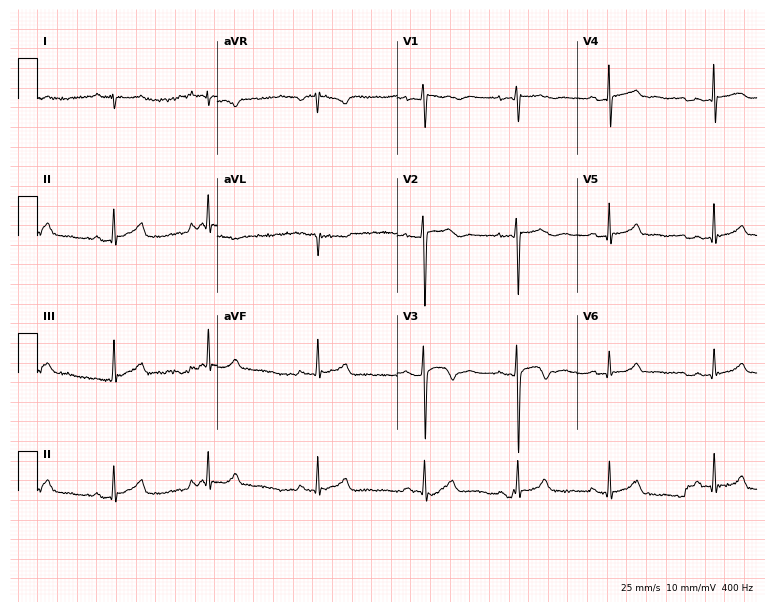
12-lead ECG from a female, 28 years old. Labelled as a normal ECG.